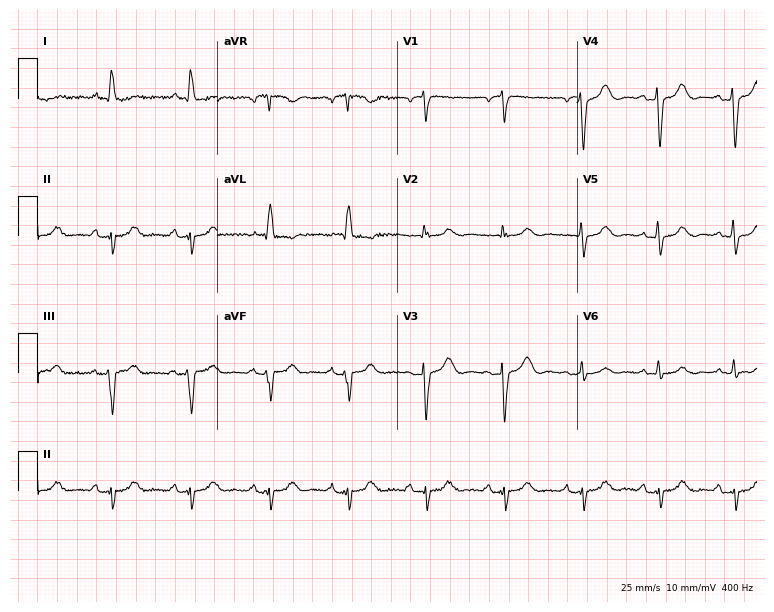
Electrocardiogram (7.3-second recording at 400 Hz), an 80-year-old female patient. Of the six screened findings (first-degree AV block, right bundle branch block (RBBB), left bundle branch block (LBBB), sinus bradycardia, atrial fibrillation (AF), sinus tachycardia), none is recorded.